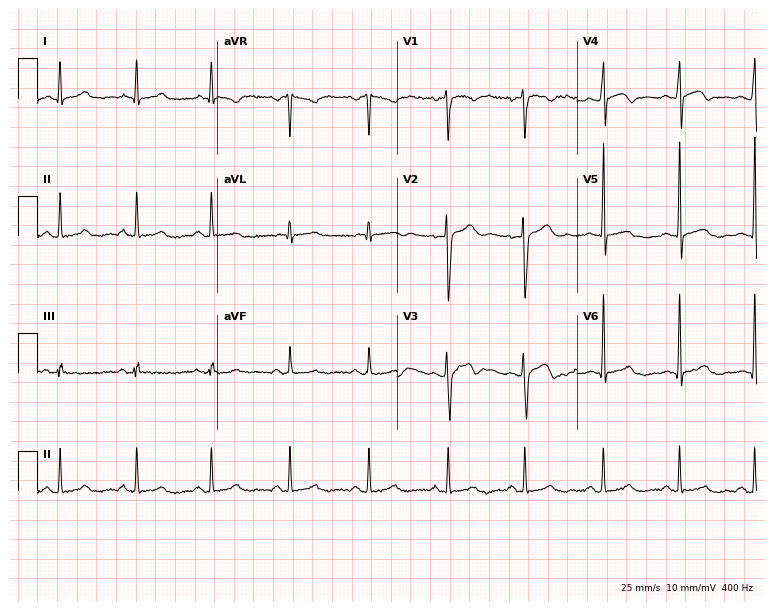
Standard 12-lead ECG recorded from a 29-year-old man (7.3-second recording at 400 Hz). None of these six findings is recorded: first-degree AV block, right bundle branch block, left bundle branch block, sinus bradycardia, atrial fibrillation, sinus tachycardia. Other findings, if any, are not listed.